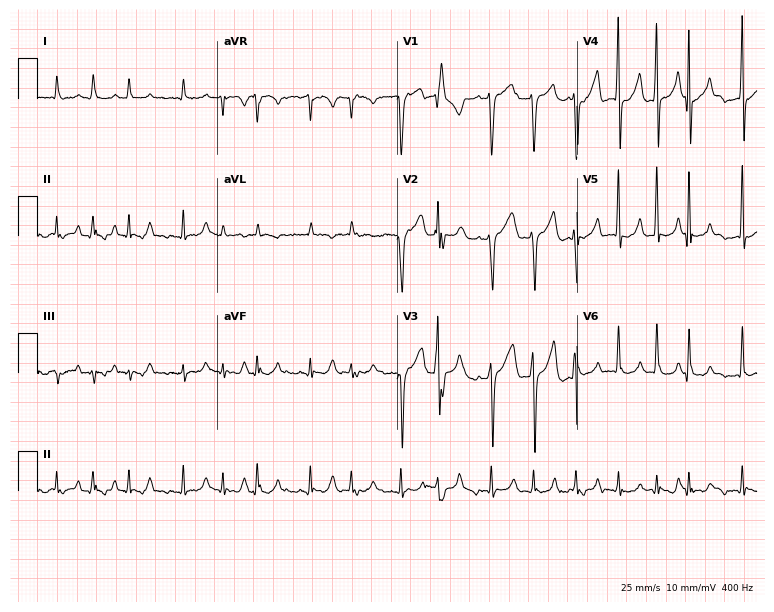
12-lead ECG from a man, 42 years old. No first-degree AV block, right bundle branch block, left bundle branch block, sinus bradycardia, atrial fibrillation or sinus tachycardia recorded for this tracing. Only these six findings were labelled.